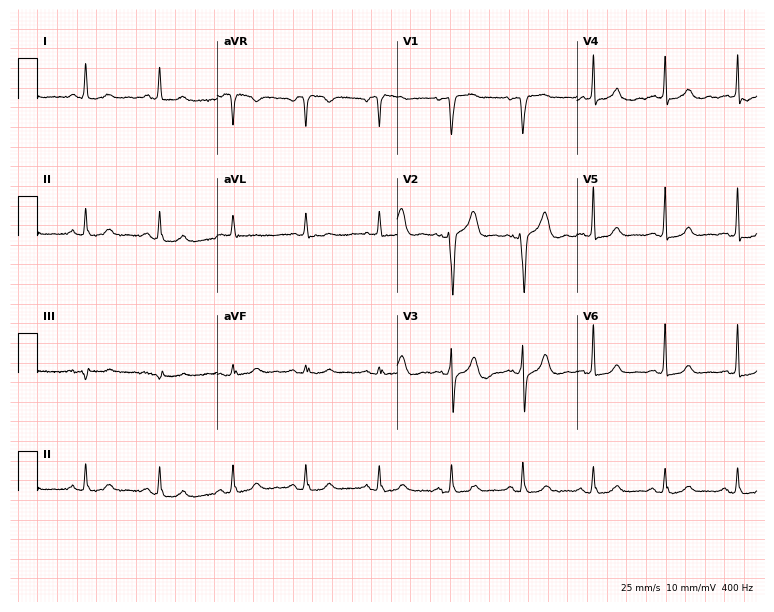
12-lead ECG from a female, 69 years old. Labelled as a normal ECG.